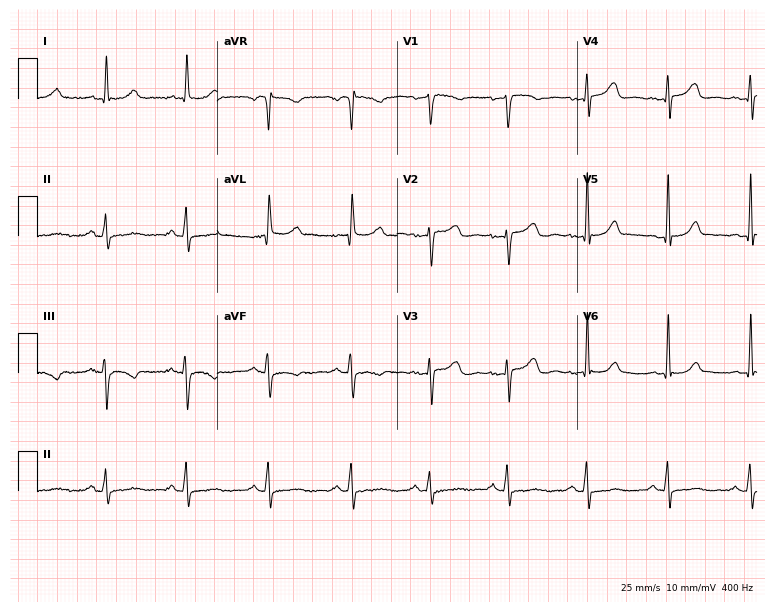
12-lead ECG from a 61-year-old female. Labelled as a normal ECG.